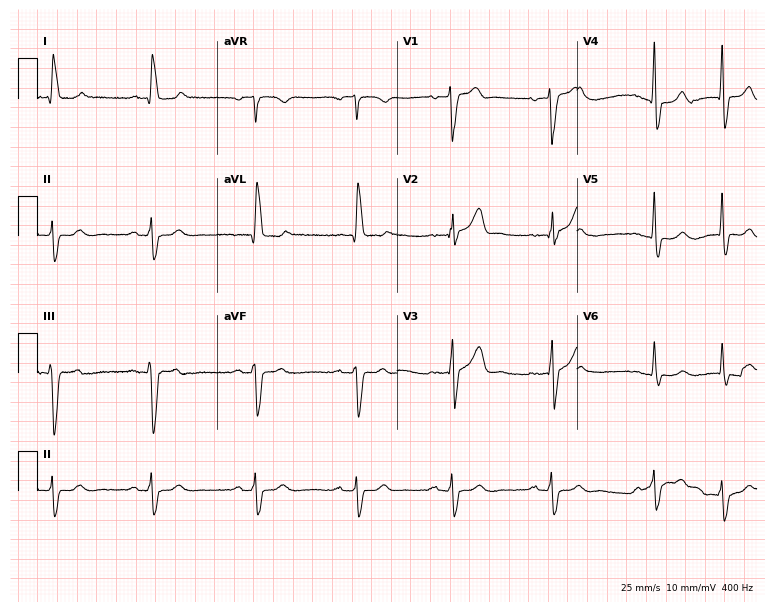
12-lead ECG from a male, 73 years old (7.3-second recording at 400 Hz). Shows left bundle branch block.